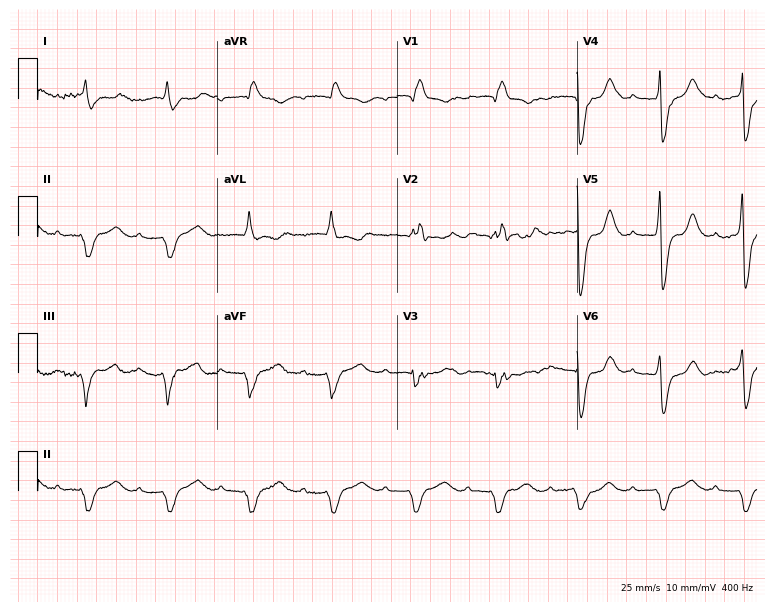
Standard 12-lead ECG recorded from a man, 85 years old. The tracing shows first-degree AV block, right bundle branch block (RBBB).